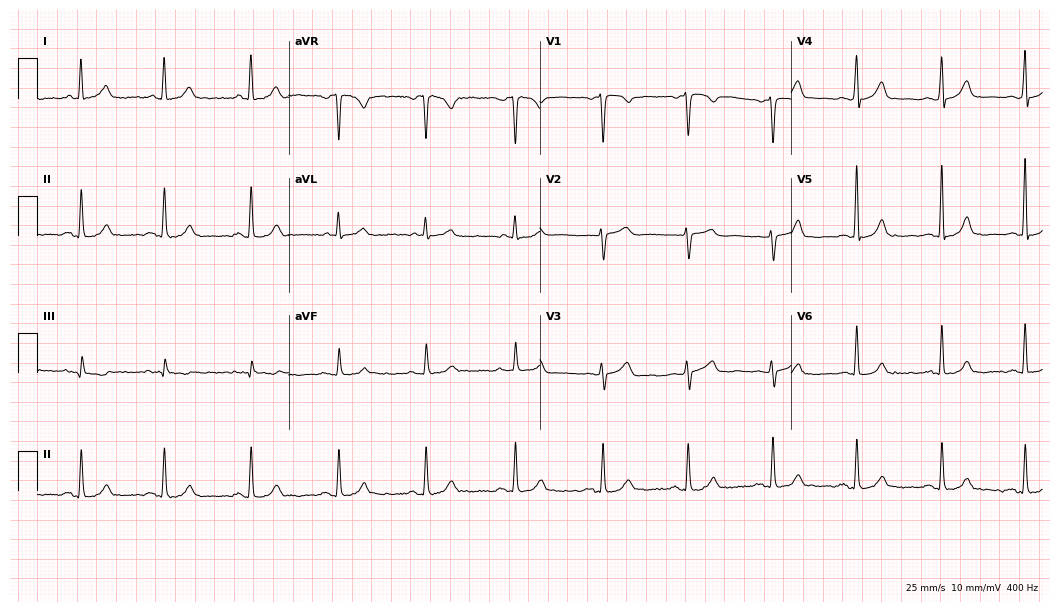
Standard 12-lead ECG recorded from a woman, 39 years old. None of these six findings is recorded: first-degree AV block, right bundle branch block, left bundle branch block, sinus bradycardia, atrial fibrillation, sinus tachycardia. Other findings, if any, are not listed.